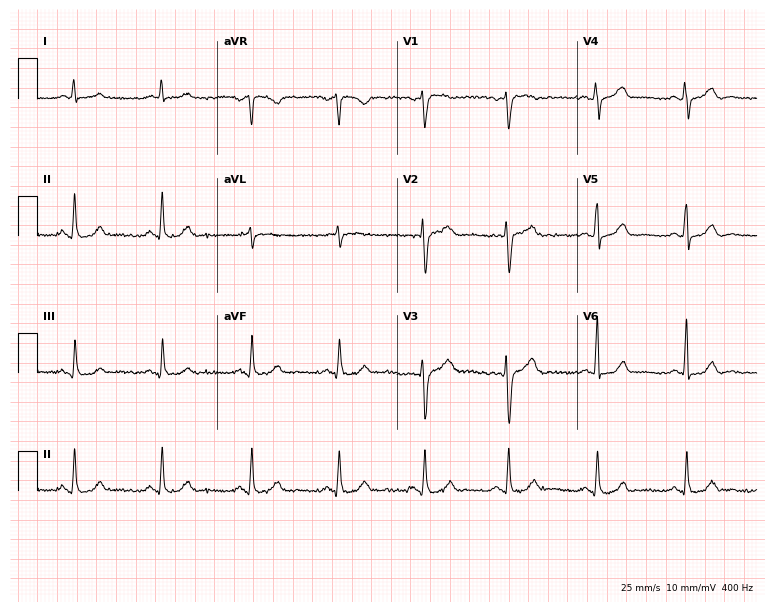
12-lead ECG from a 65-year-old man. Labelled as a normal ECG.